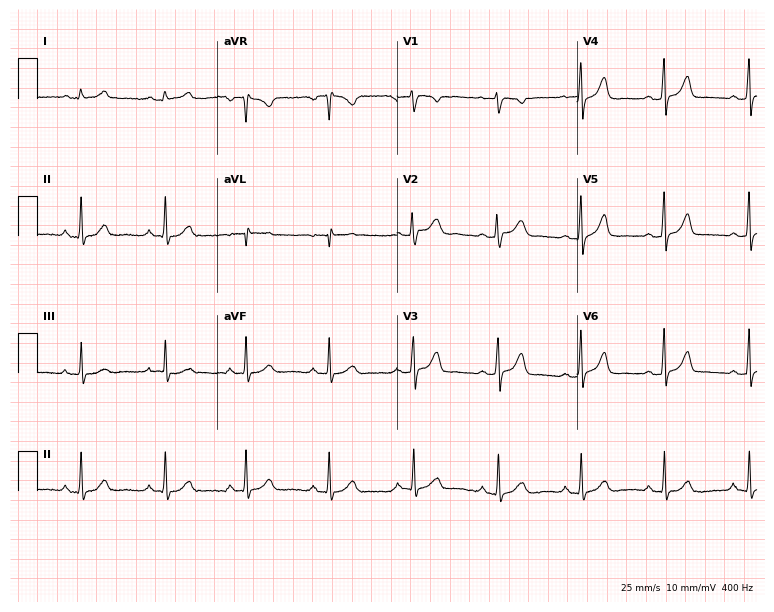
Standard 12-lead ECG recorded from a 23-year-old woman (7.3-second recording at 400 Hz). Read as a normal ECG.